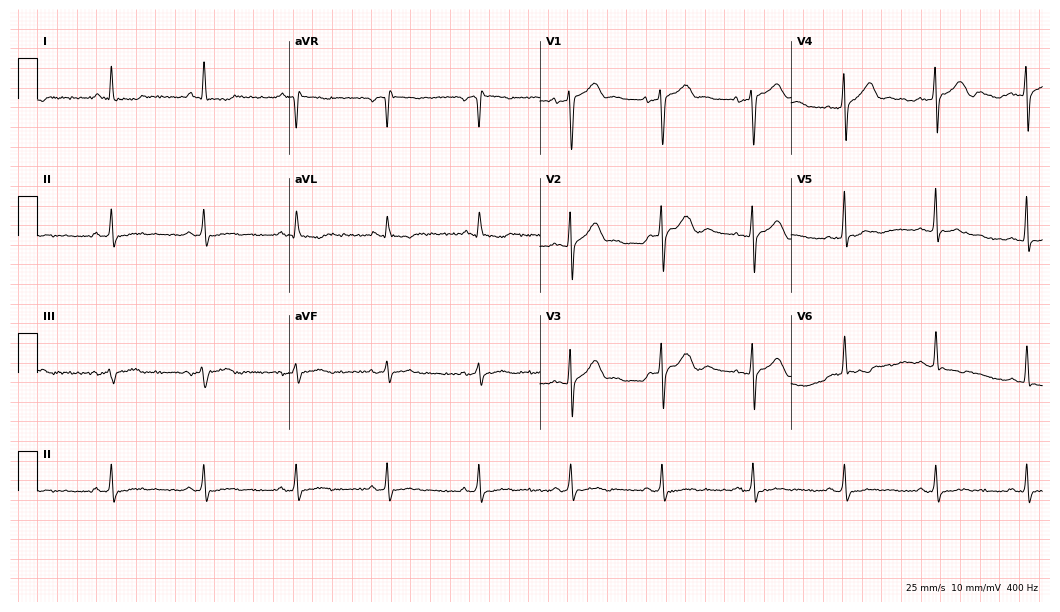
12-lead ECG from a male patient, 48 years old. No first-degree AV block, right bundle branch block (RBBB), left bundle branch block (LBBB), sinus bradycardia, atrial fibrillation (AF) or sinus tachycardia recorded for this tracing.